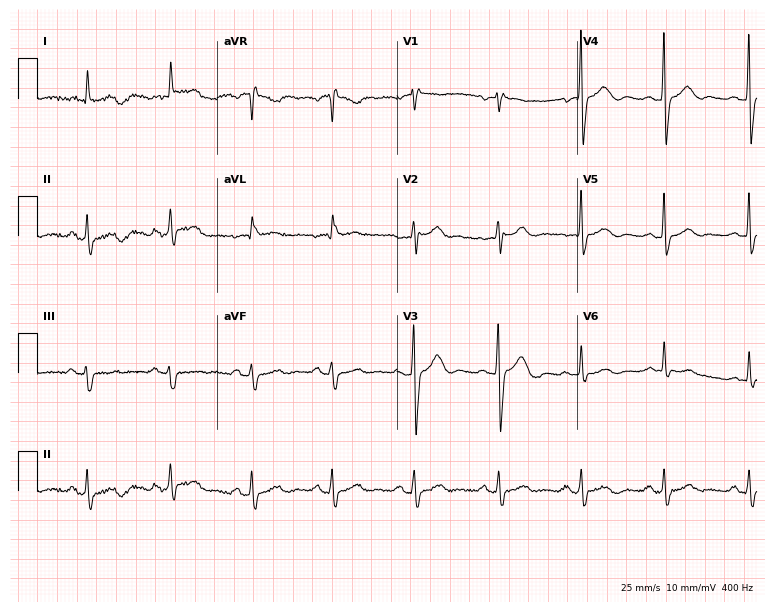
12-lead ECG from a male patient, 64 years old. Screened for six findings — first-degree AV block, right bundle branch block (RBBB), left bundle branch block (LBBB), sinus bradycardia, atrial fibrillation (AF), sinus tachycardia — none is recorded. Other findings, if any, are not listed.